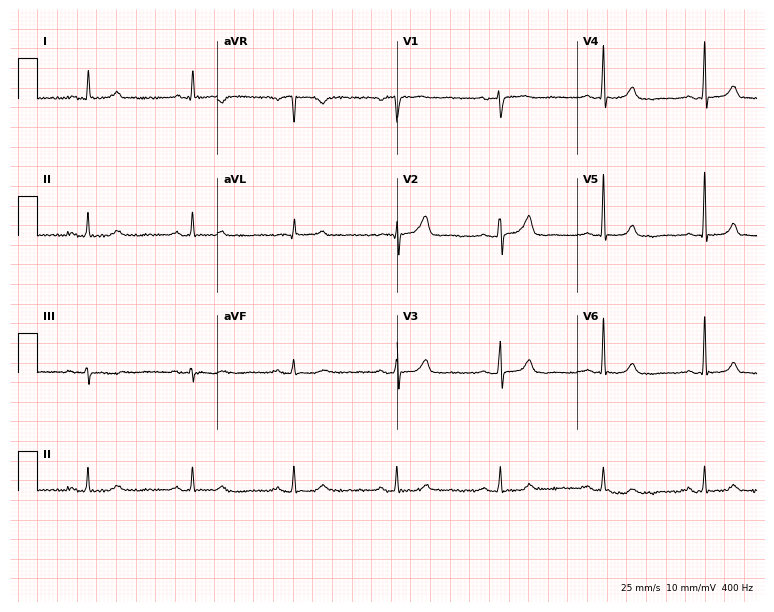
12-lead ECG from a 72-year-old female. Screened for six findings — first-degree AV block, right bundle branch block, left bundle branch block, sinus bradycardia, atrial fibrillation, sinus tachycardia — none is recorded.